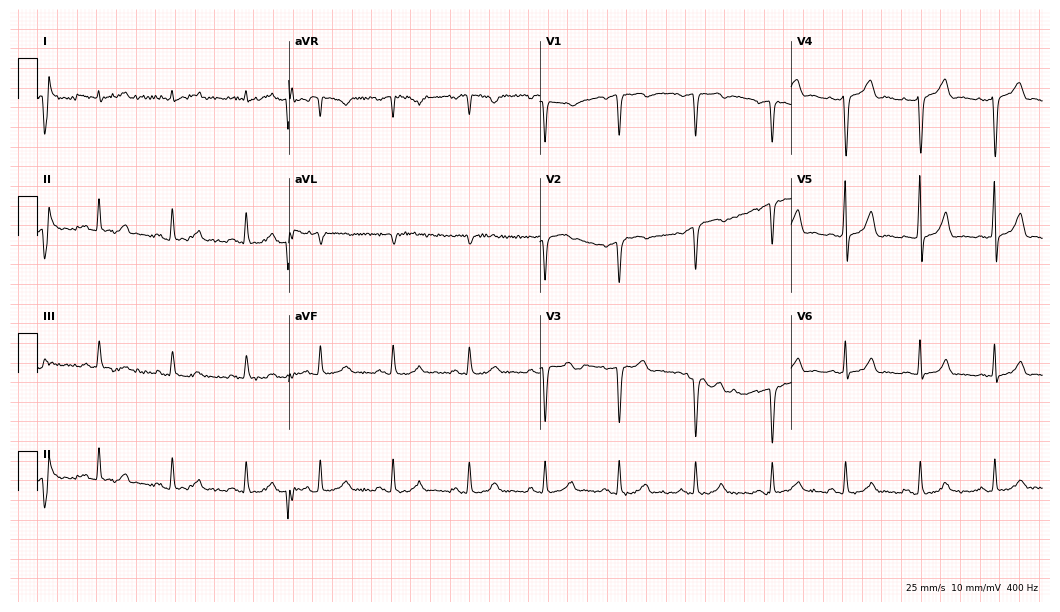
Electrocardiogram, a 41-year-old female. Of the six screened findings (first-degree AV block, right bundle branch block, left bundle branch block, sinus bradycardia, atrial fibrillation, sinus tachycardia), none is recorded.